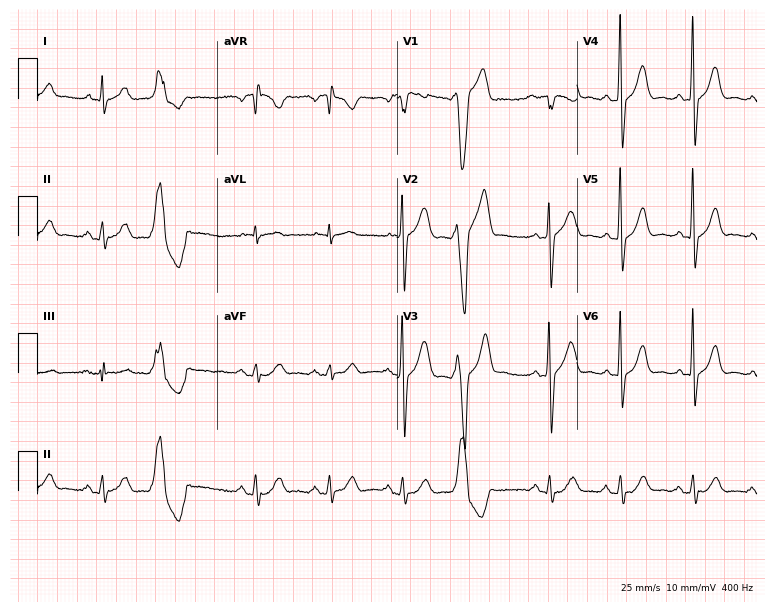
12-lead ECG from a 52-year-old male (7.3-second recording at 400 Hz). Recorded interpretation: within normal limits.